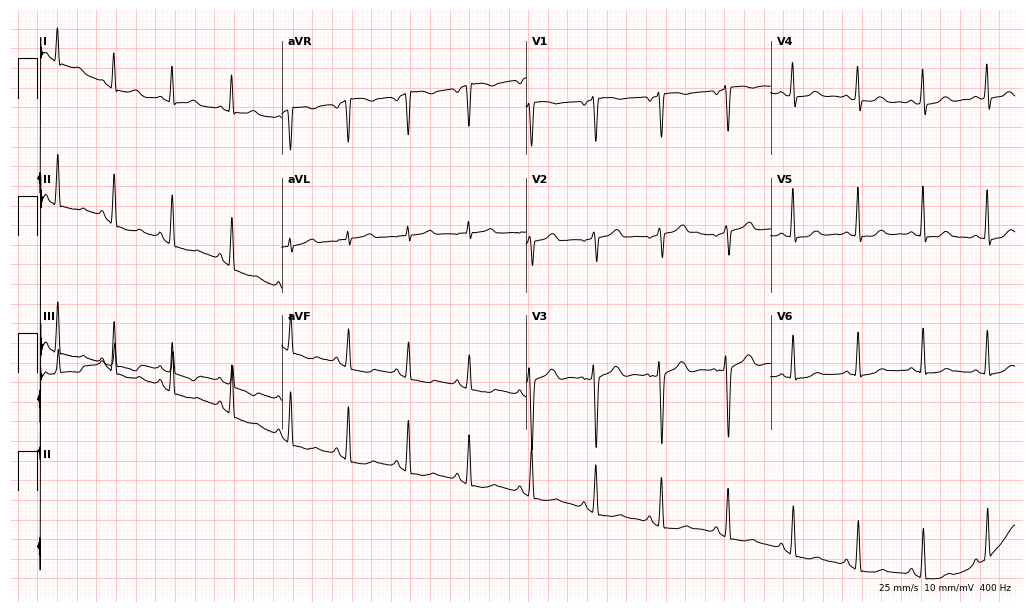
ECG — a 57-year-old female. Screened for six findings — first-degree AV block, right bundle branch block, left bundle branch block, sinus bradycardia, atrial fibrillation, sinus tachycardia — none is recorded. Only these six findings were labelled.